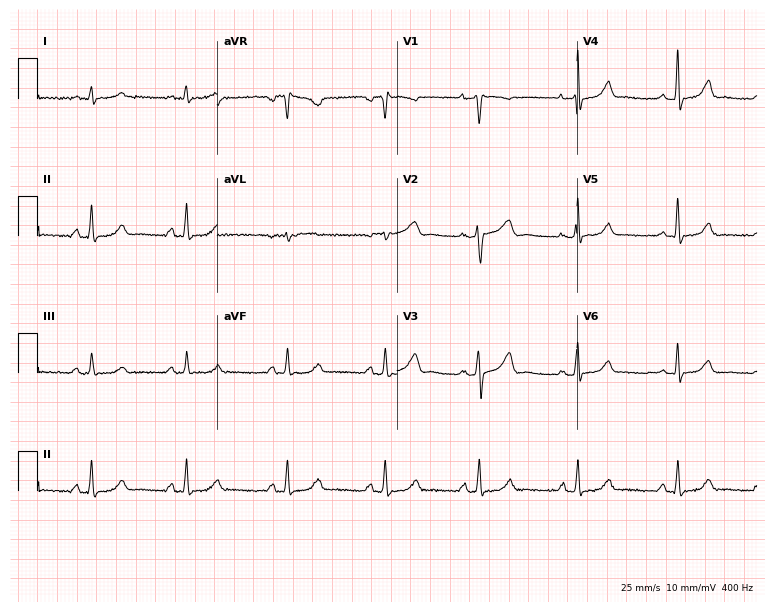
12-lead ECG from a 57-year-old female (7.3-second recording at 400 Hz). No first-degree AV block, right bundle branch block (RBBB), left bundle branch block (LBBB), sinus bradycardia, atrial fibrillation (AF) or sinus tachycardia recorded for this tracing. Other findings, if any, are not listed.